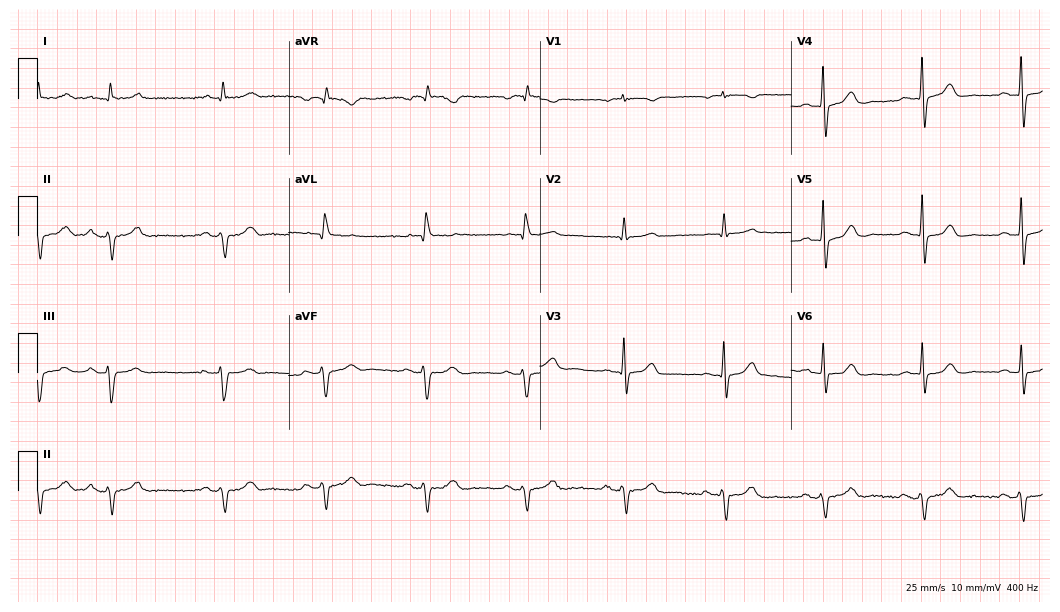
ECG — a man, 81 years old. Screened for six findings — first-degree AV block, right bundle branch block, left bundle branch block, sinus bradycardia, atrial fibrillation, sinus tachycardia — none is recorded. Findings outside these six are not listed.